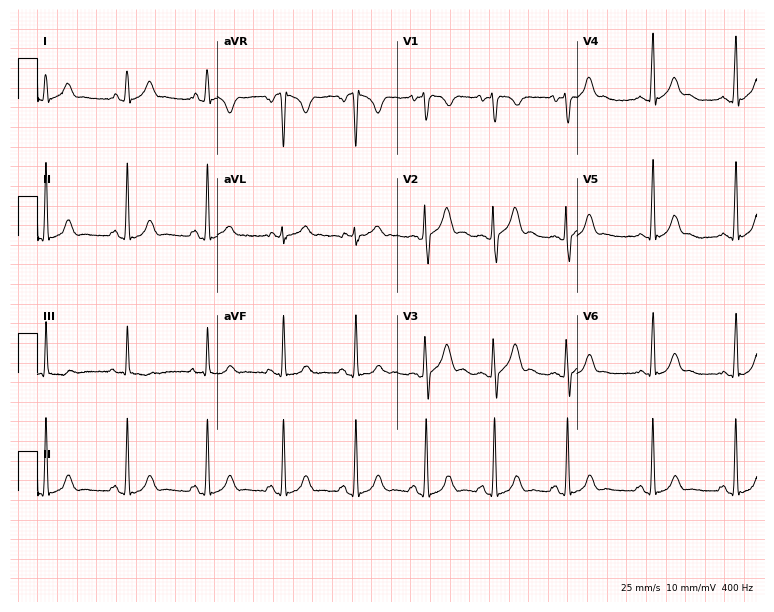
Standard 12-lead ECG recorded from a male patient, 27 years old (7.3-second recording at 400 Hz). Read as a normal ECG.